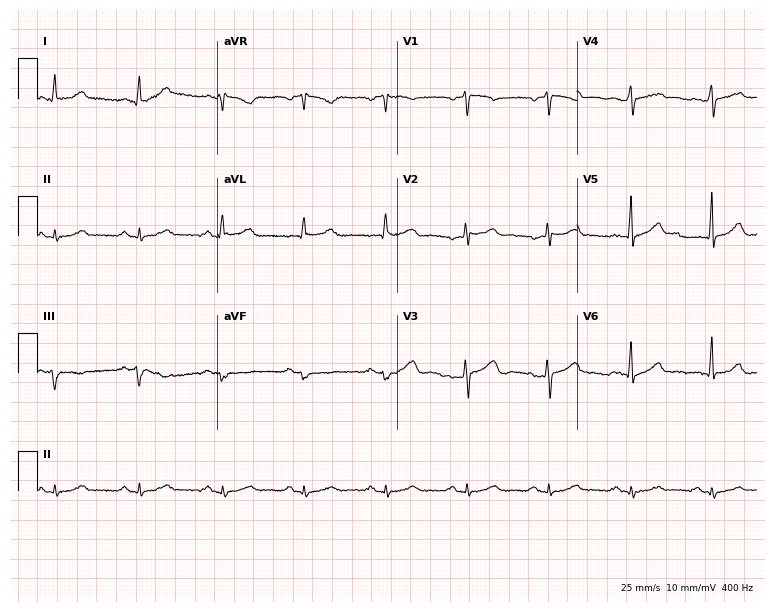
12-lead ECG (7.3-second recording at 400 Hz) from a male patient, 49 years old. Screened for six findings — first-degree AV block, right bundle branch block, left bundle branch block, sinus bradycardia, atrial fibrillation, sinus tachycardia — none is recorded.